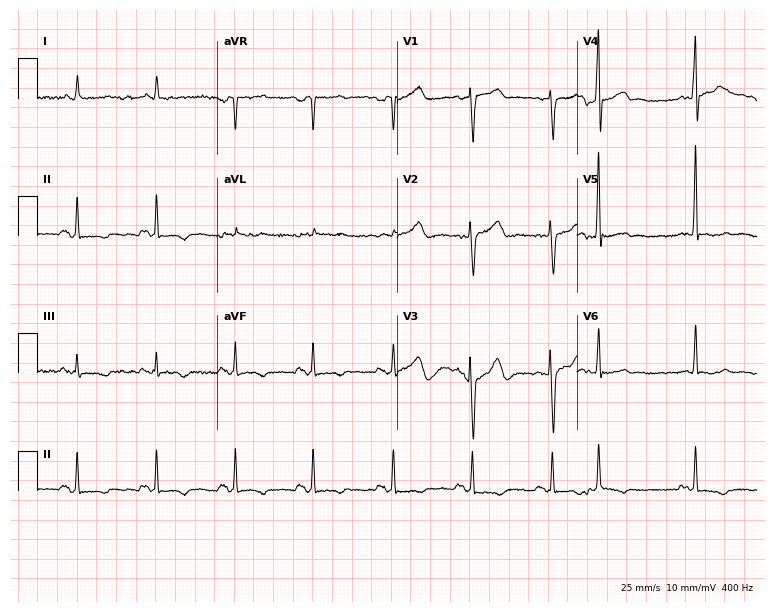
Standard 12-lead ECG recorded from a man, 77 years old. None of these six findings is recorded: first-degree AV block, right bundle branch block (RBBB), left bundle branch block (LBBB), sinus bradycardia, atrial fibrillation (AF), sinus tachycardia.